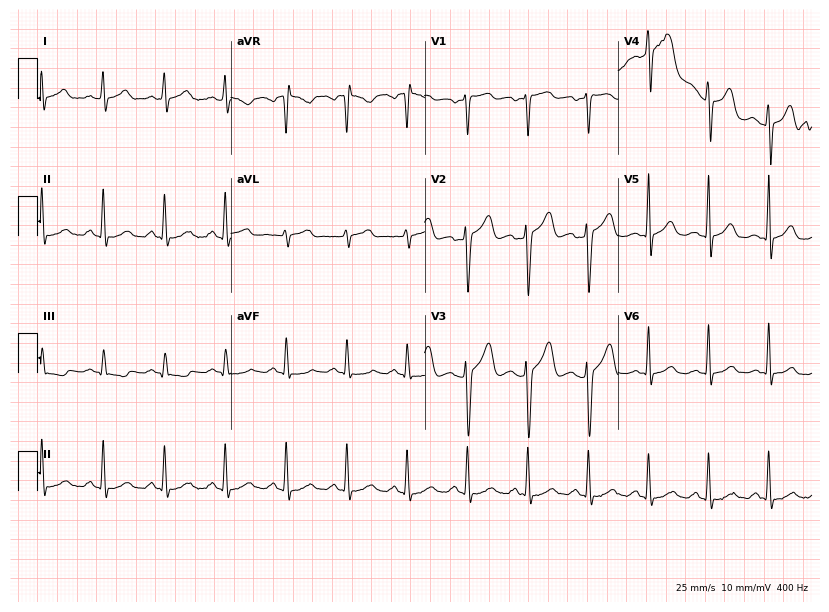
Standard 12-lead ECG recorded from a 39-year-old male. Read as a normal ECG.